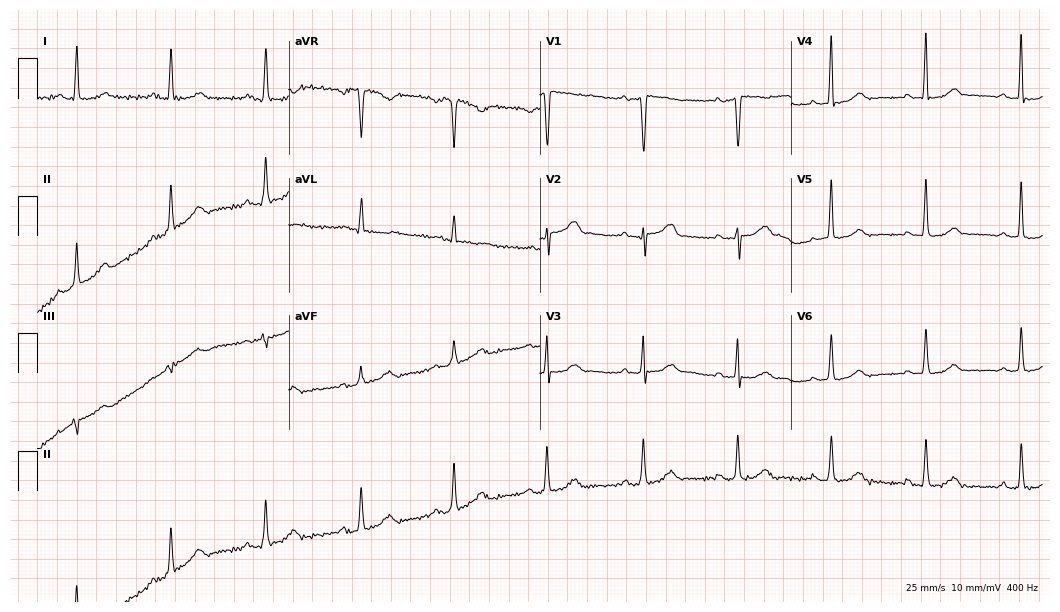
ECG (10.2-second recording at 400 Hz) — a 65-year-old woman. Labelled as a normal ECG.